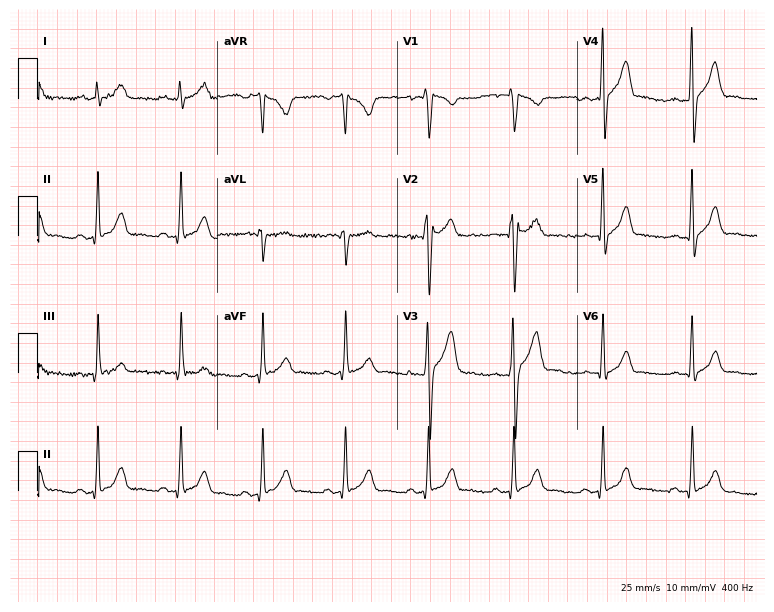
ECG — a male patient, 32 years old. Labelled as a normal ECG.